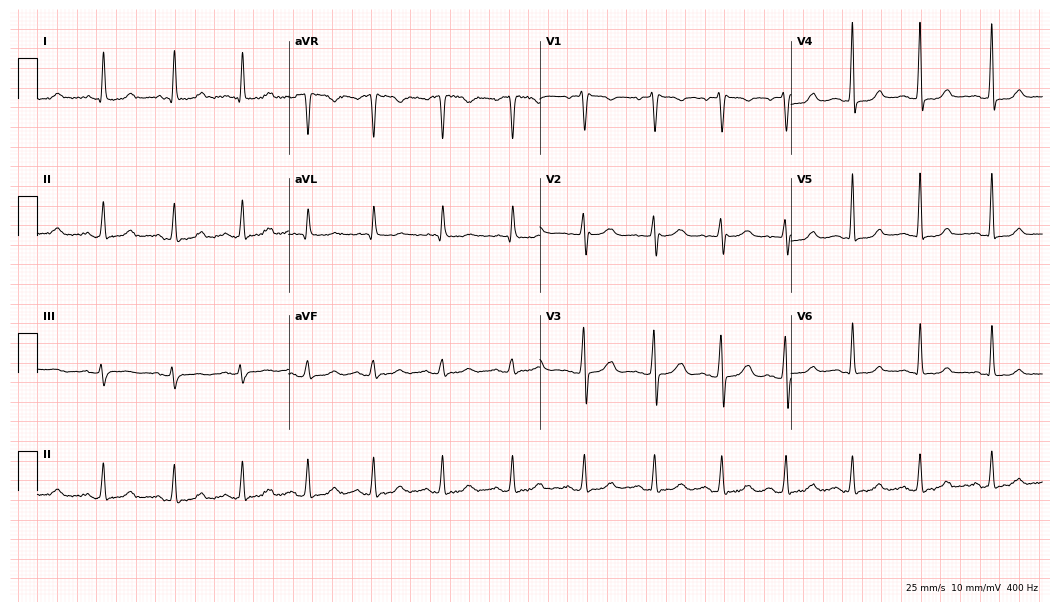
12-lead ECG (10.2-second recording at 400 Hz) from a 47-year-old woman. Labelled as a normal ECG.